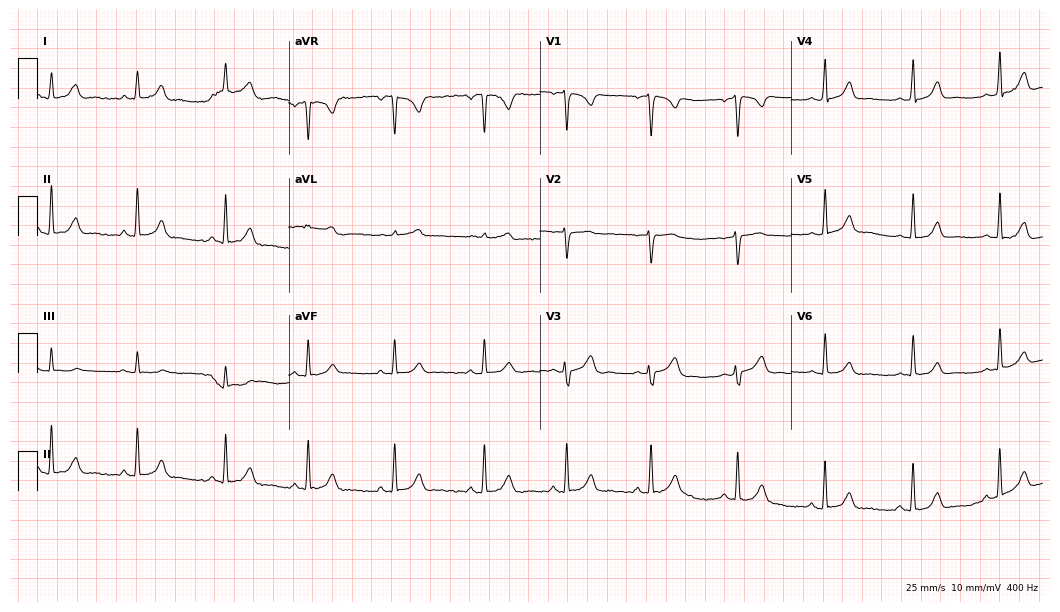
12-lead ECG (10.2-second recording at 400 Hz) from a female, 20 years old. Labelled as a normal ECG.